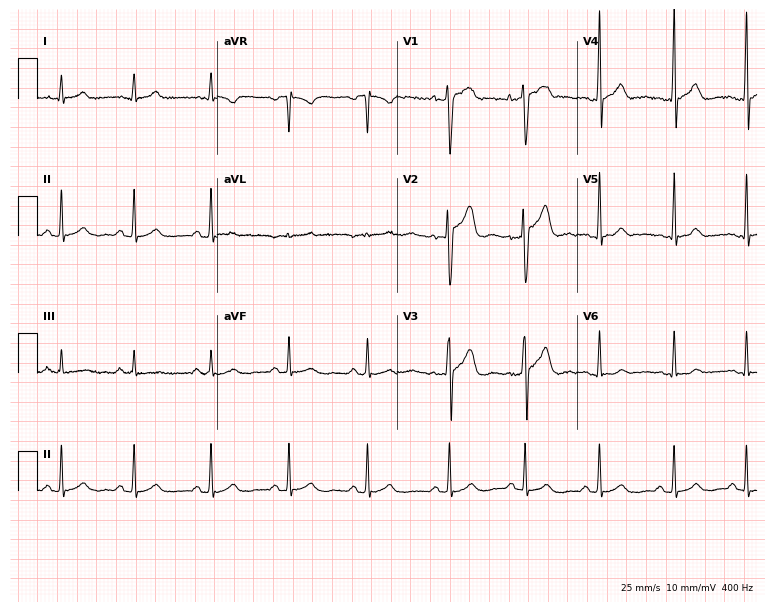
ECG (7.3-second recording at 400 Hz) — a male patient, 21 years old. Screened for six findings — first-degree AV block, right bundle branch block (RBBB), left bundle branch block (LBBB), sinus bradycardia, atrial fibrillation (AF), sinus tachycardia — none is recorded.